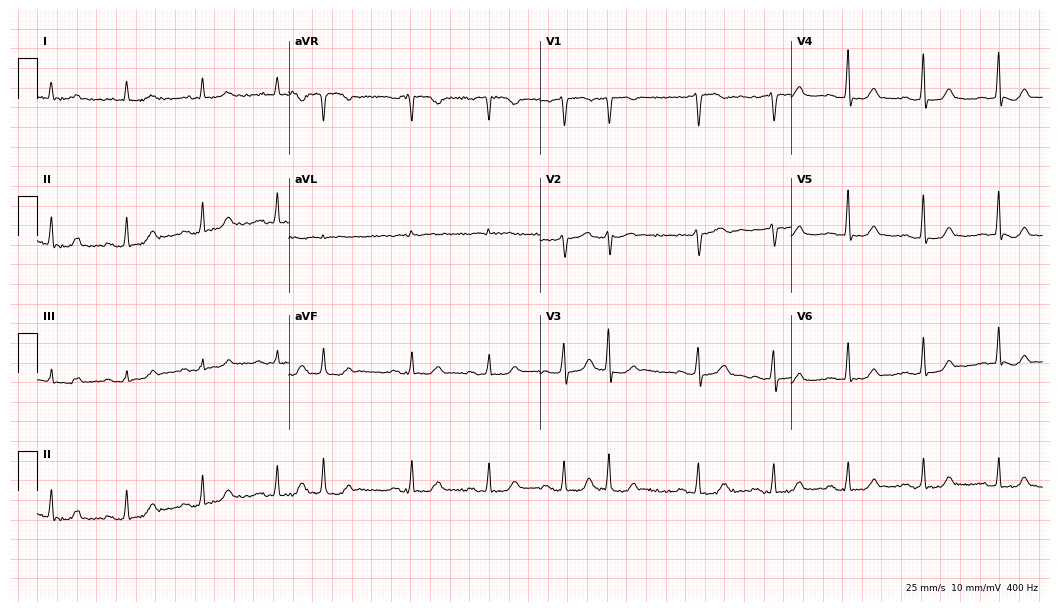
Standard 12-lead ECG recorded from a 66-year-old female patient (10.2-second recording at 400 Hz). None of these six findings is recorded: first-degree AV block, right bundle branch block (RBBB), left bundle branch block (LBBB), sinus bradycardia, atrial fibrillation (AF), sinus tachycardia.